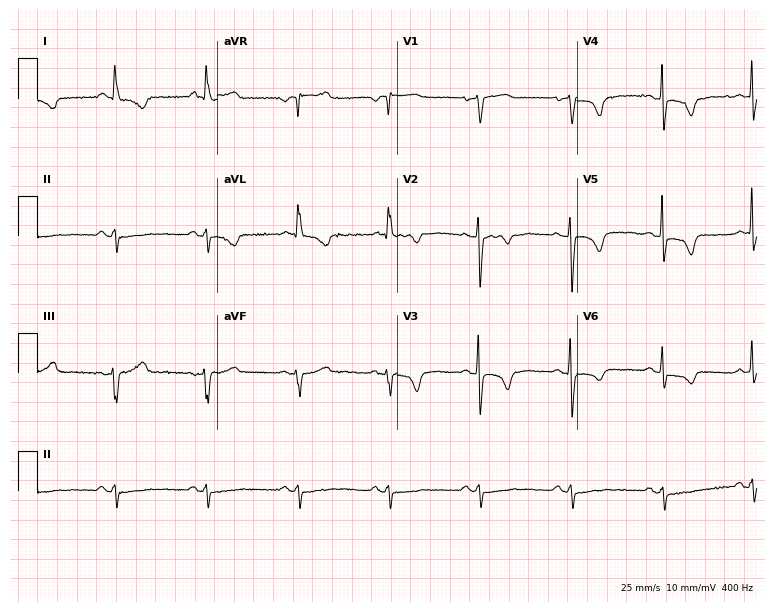
Standard 12-lead ECG recorded from a woman, 68 years old. None of these six findings is recorded: first-degree AV block, right bundle branch block, left bundle branch block, sinus bradycardia, atrial fibrillation, sinus tachycardia.